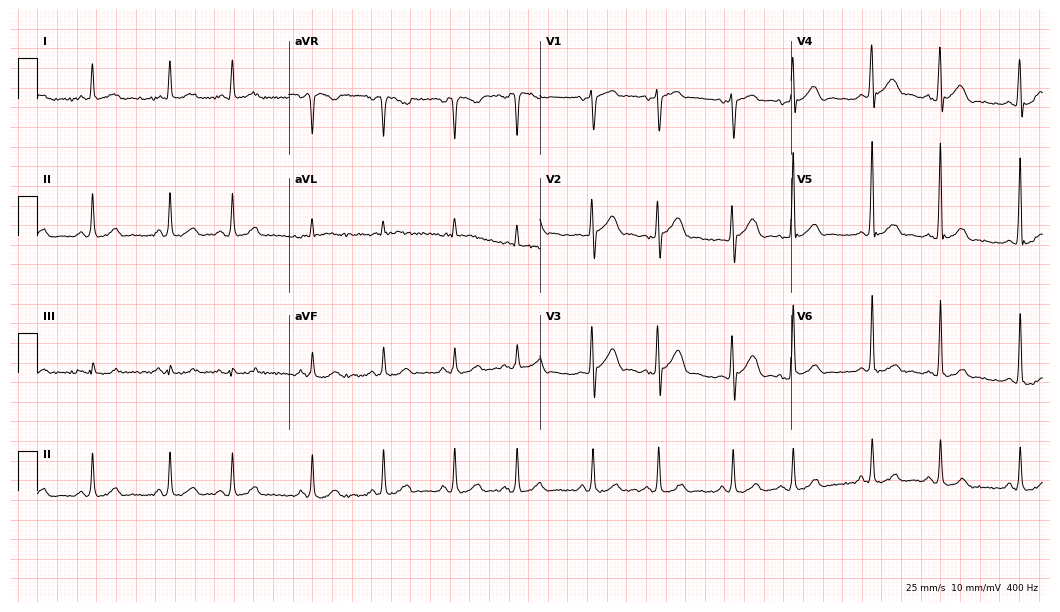
ECG (10.2-second recording at 400 Hz) — a 66-year-old male. Screened for six findings — first-degree AV block, right bundle branch block (RBBB), left bundle branch block (LBBB), sinus bradycardia, atrial fibrillation (AF), sinus tachycardia — none is recorded.